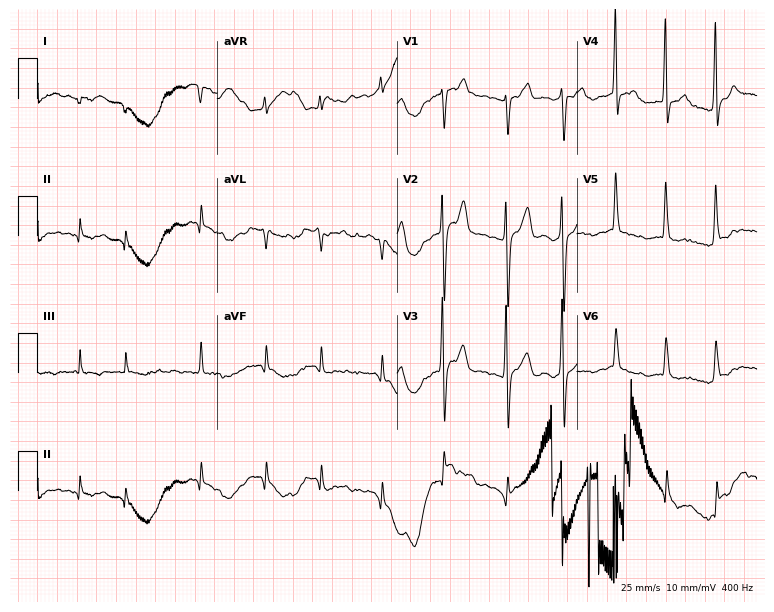
Standard 12-lead ECG recorded from a 74-year-old female patient. None of these six findings is recorded: first-degree AV block, right bundle branch block (RBBB), left bundle branch block (LBBB), sinus bradycardia, atrial fibrillation (AF), sinus tachycardia.